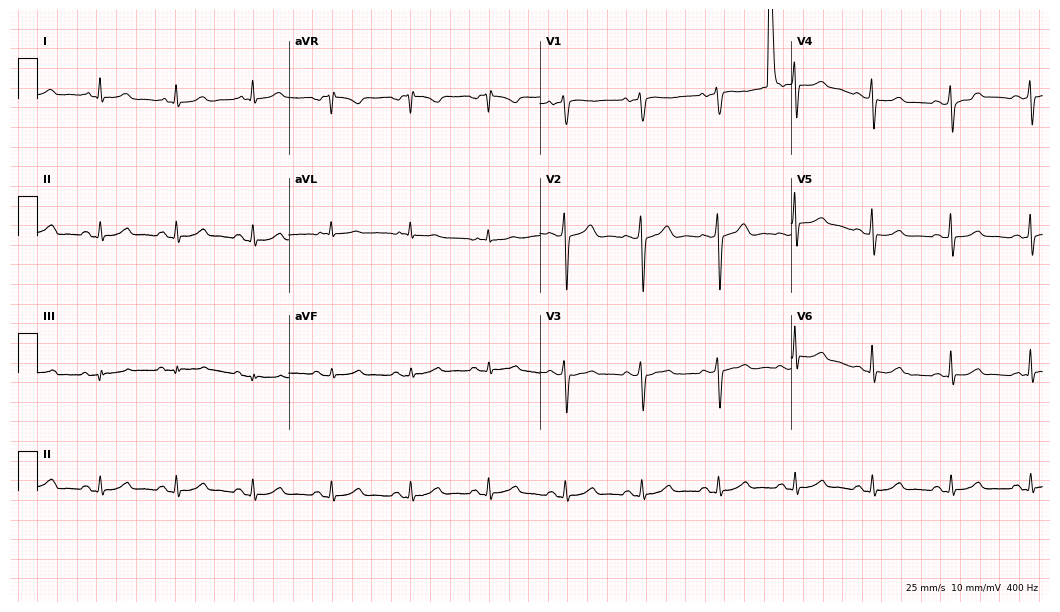
Resting 12-lead electrocardiogram (10.2-second recording at 400 Hz). Patient: a 72-year-old man. Read as a normal ECG.